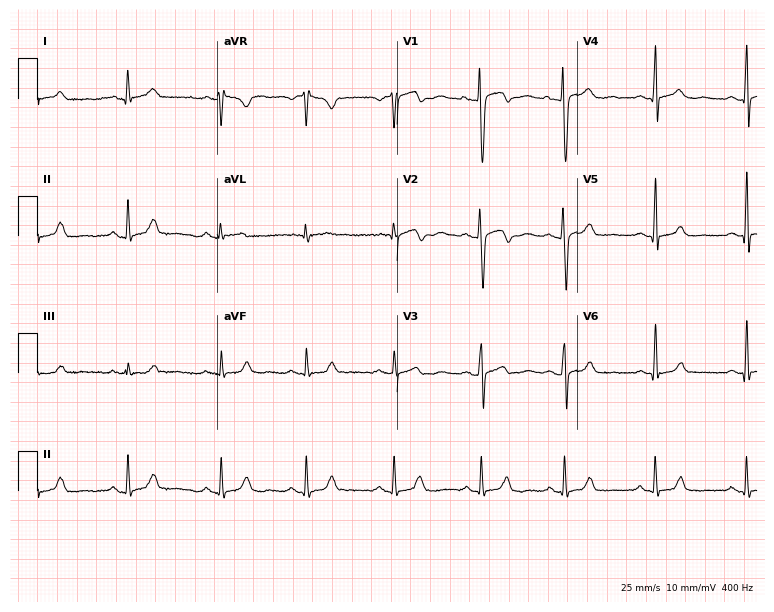
Electrocardiogram, a female, 32 years old. Of the six screened findings (first-degree AV block, right bundle branch block, left bundle branch block, sinus bradycardia, atrial fibrillation, sinus tachycardia), none is recorded. Other findings, if any, are not listed.